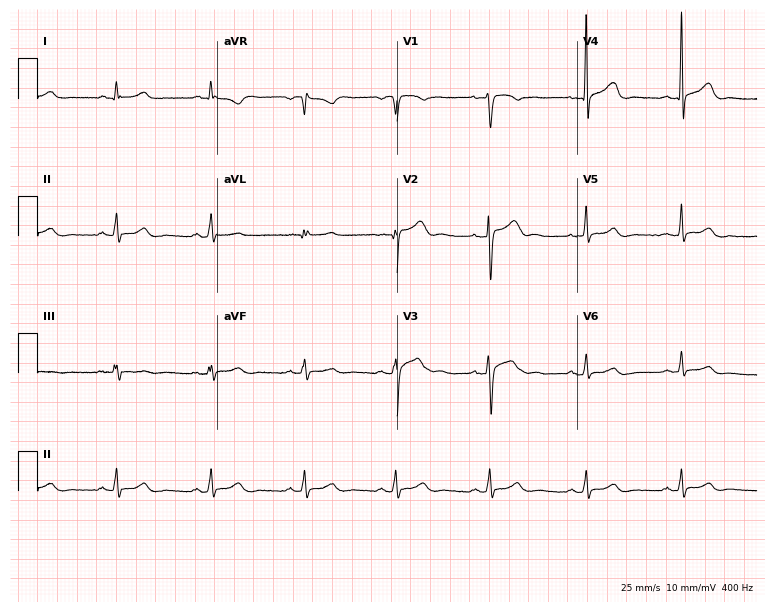
12-lead ECG from a man, 40 years old. No first-degree AV block, right bundle branch block, left bundle branch block, sinus bradycardia, atrial fibrillation or sinus tachycardia recorded for this tracing. Only these six findings were labelled.